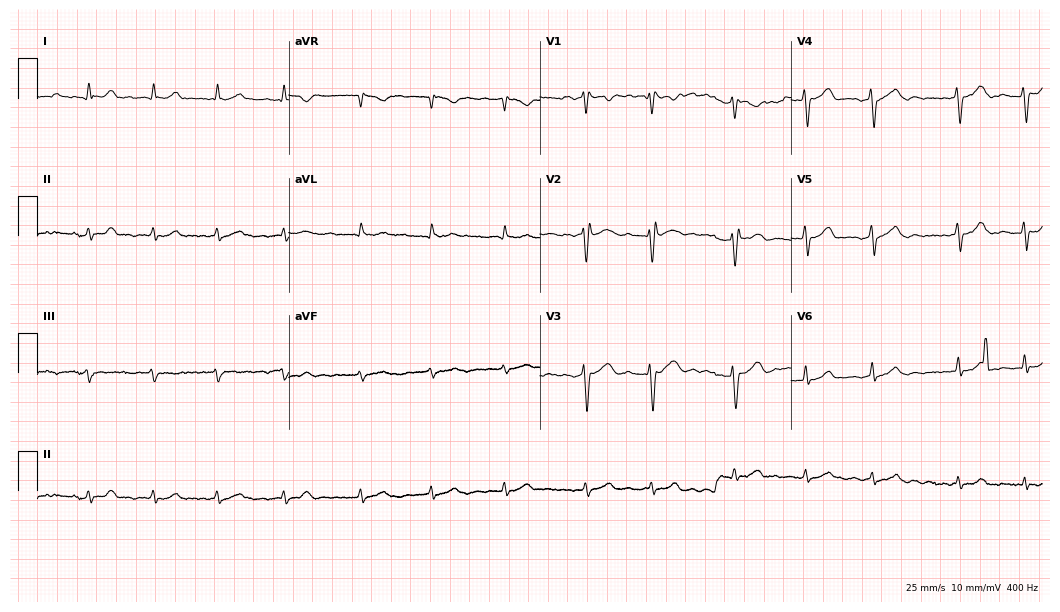
Electrocardiogram, an 83-year-old male patient. Of the six screened findings (first-degree AV block, right bundle branch block, left bundle branch block, sinus bradycardia, atrial fibrillation, sinus tachycardia), none is recorded.